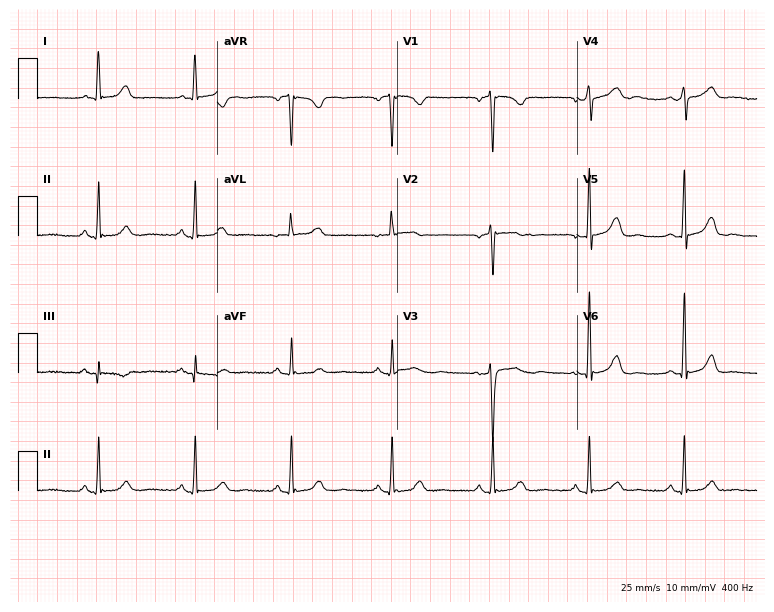
Standard 12-lead ECG recorded from a 46-year-old female patient (7.3-second recording at 400 Hz). Read as a normal ECG.